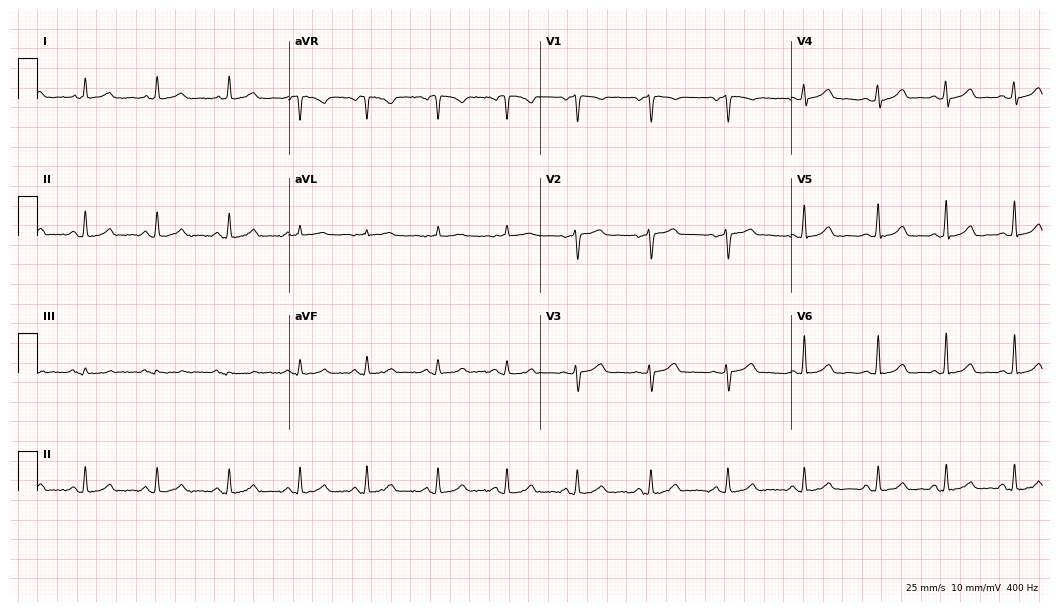
Standard 12-lead ECG recorded from a female, 42 years old (10.2-second recording at 400 Hz). Read as a normal ECG.